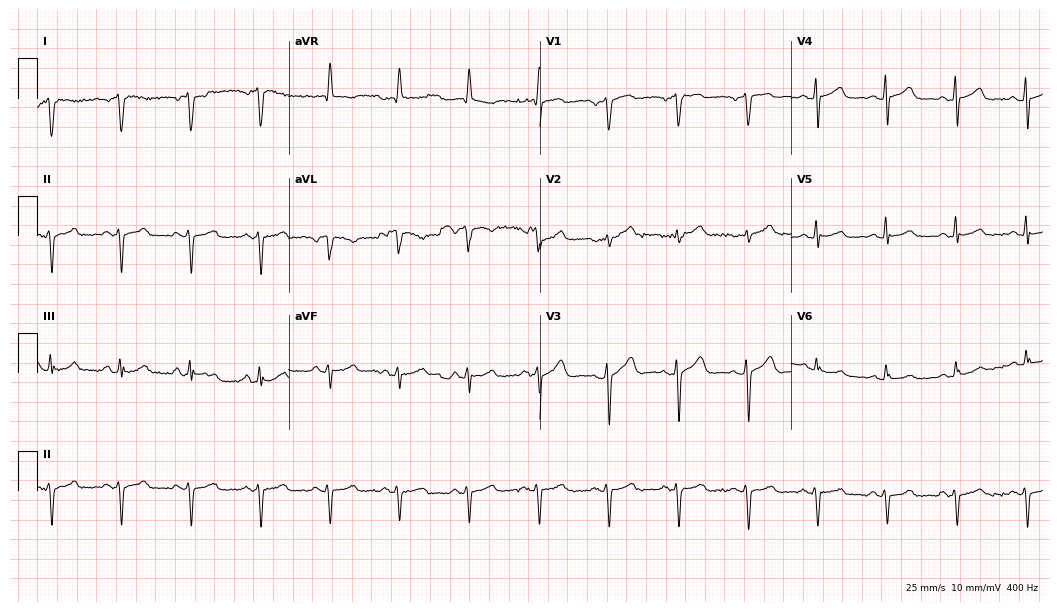
ECG (10.2-second recording at 400 Hz) — a 56-year-old female. Screened for six findings — first-degree AV block, right bundle branch block, left bundle branch block, sinus bradycardia, atrial fibrillation, sinus tachycardia — none is recorded.